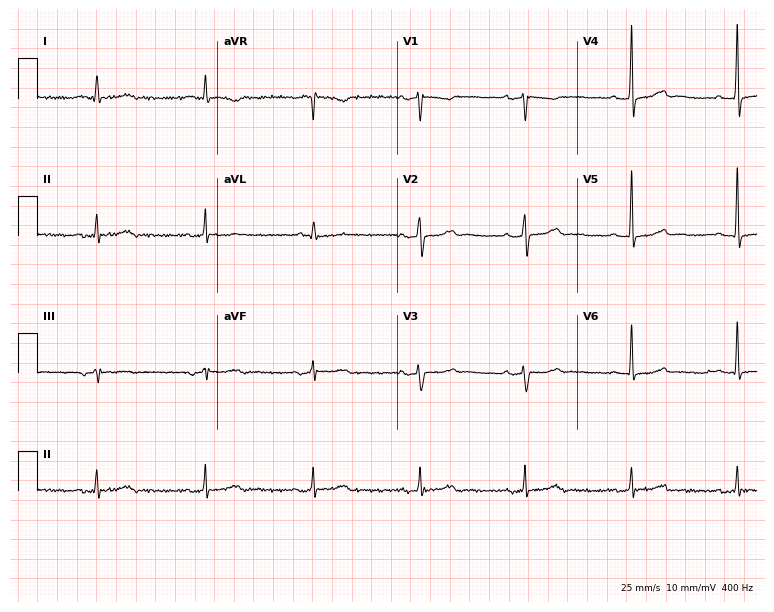
Electrocardiogram (7.3-second recording at 400 Hz), a woman, 86 years old. Of the six screened findings (first-degree AV block, right bundle branch block (RBBB), left bundle branch block (LBBB), sinus bradycardia, atrial fibrillation (AF), sinus tachycardia), none is recorded.